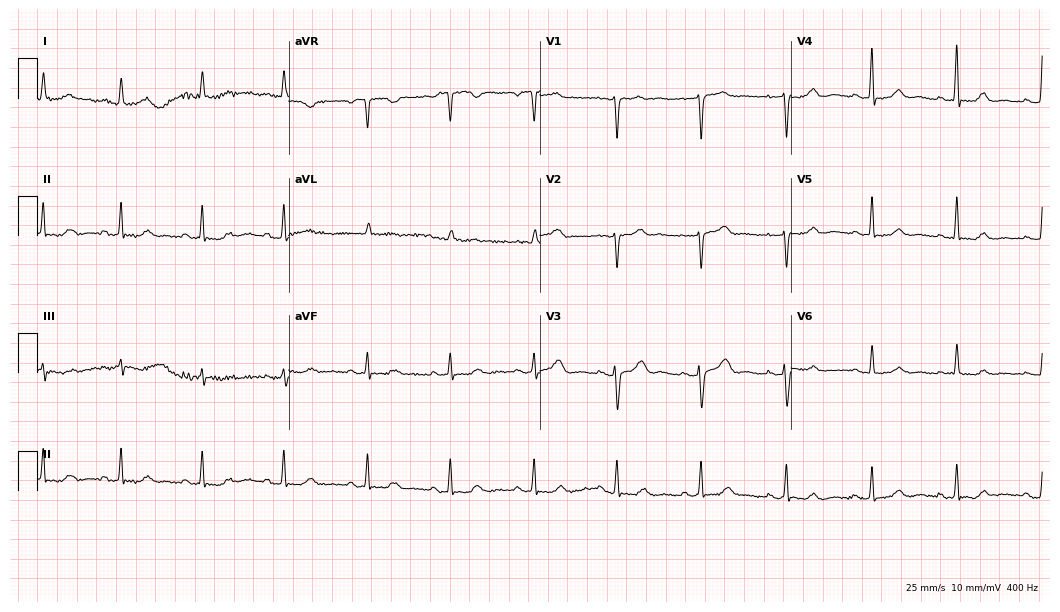
Electrocardiogram, a 60-year-old woman. Overall reading on record: normal ECG.